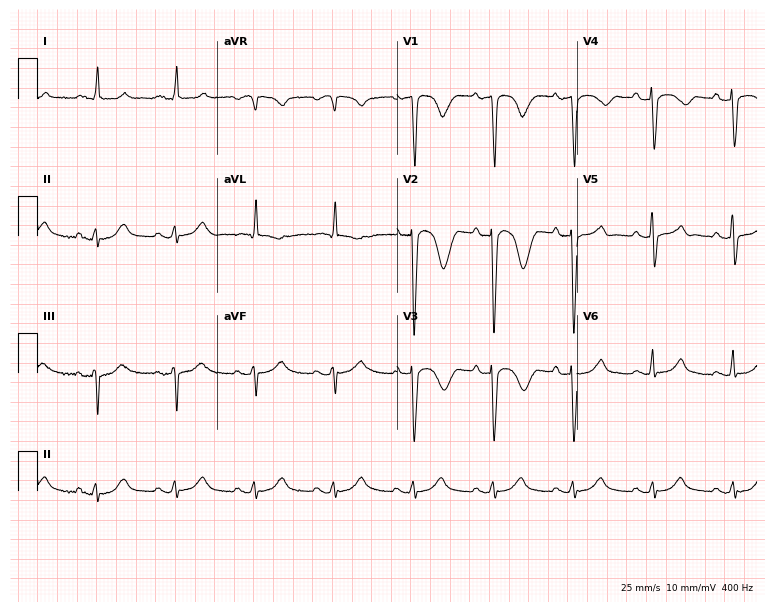
12-lead ECG from an 82-year-old man. No first-degree AV block, right bundle branch block, left bundle branch block, sinus bradycardia, atrial fibrillation or sinus tachycardia recorded for this tracing.